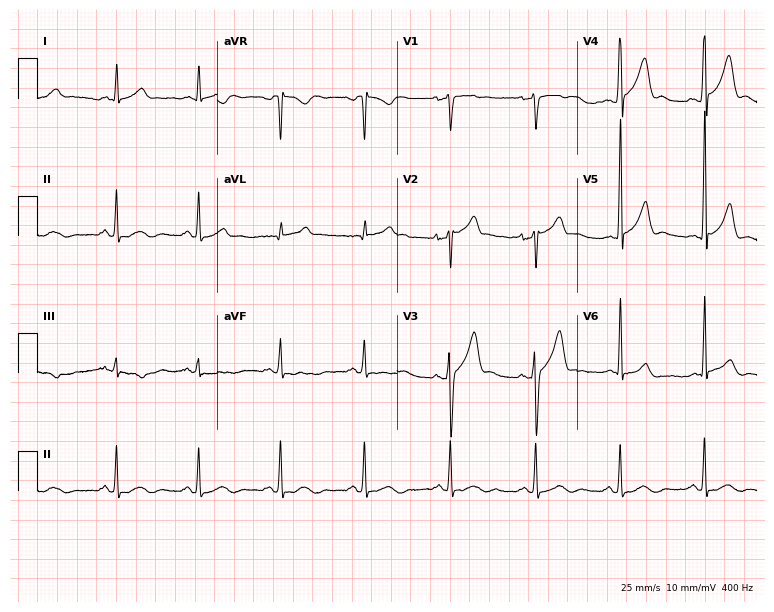
ECG (7.3-second recording at 400 Hz) — a 38-year-old male patient. Screened for six findings — first-degree AV block, right bundle branch block, left bundle branch block, sinus bradycardia, atrial fibrillation, sinus tachycardia — none is recorded. Findings outside these six are not listed.